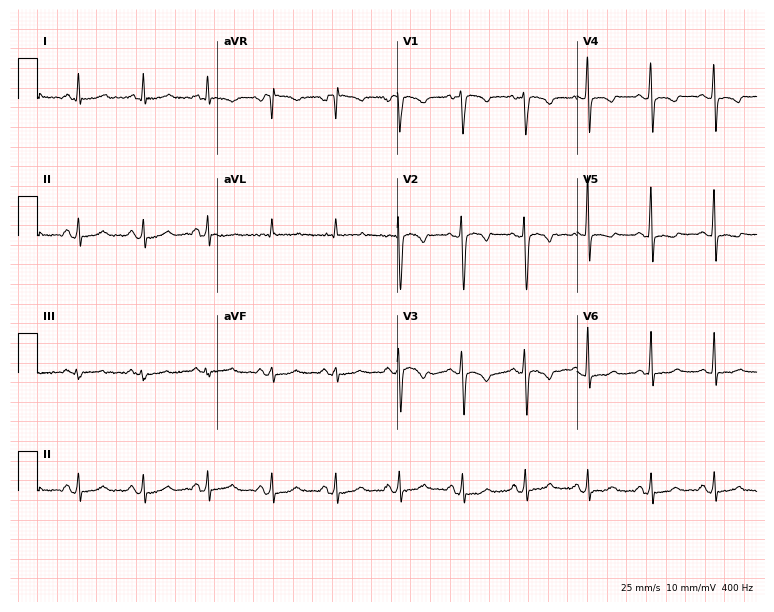
Electrocardiogram (7.3-second recording at 400 Hz), a 47-year-old female patient. Of the six screened findings (first-degree AV block, right bundle branch block, left bundle branch block, sinus bradycardia, atrial fibrillation, sinus tachycardia), none is recorded.